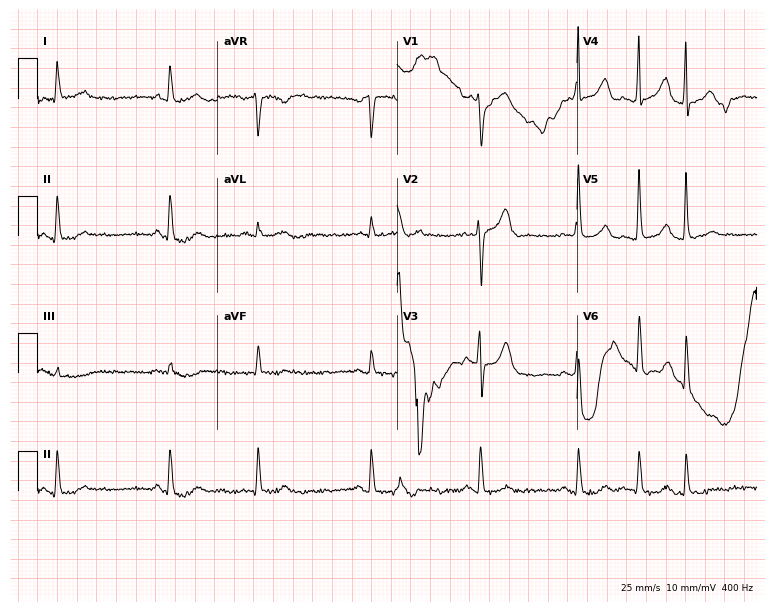
Standard 12-lead ECG recorded from a man, 79 years old (7.3-second recording at 400 Hz). Read as a normal ECG.